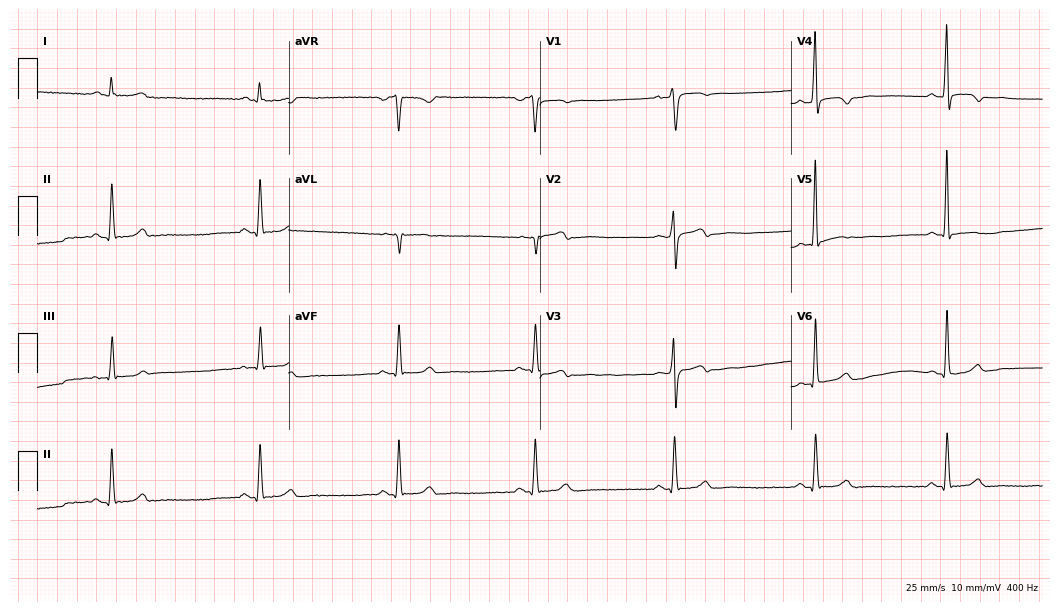
Standard 12-lead ECG recorded from a 31-year-old male patient (10.2-second recording at 400 Hz). The tracing shows sinus bradycardia (a sinus rate of 50 beats per minute or less).